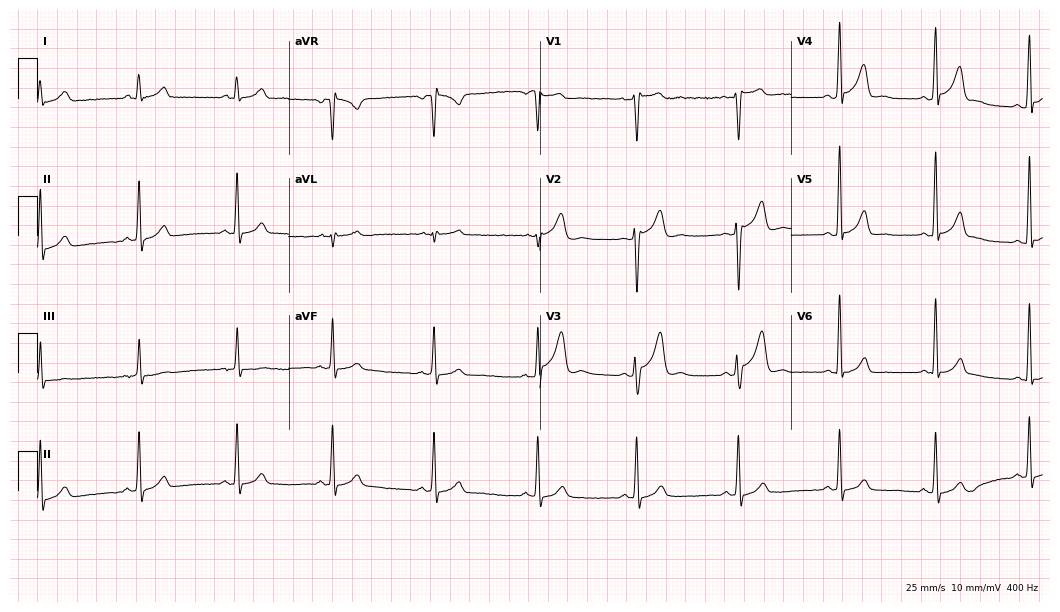
Standard 12-lead ECG recorded from a man, 33 years old (10.2-second recording at 400 Hz). Read as a normal ECG.